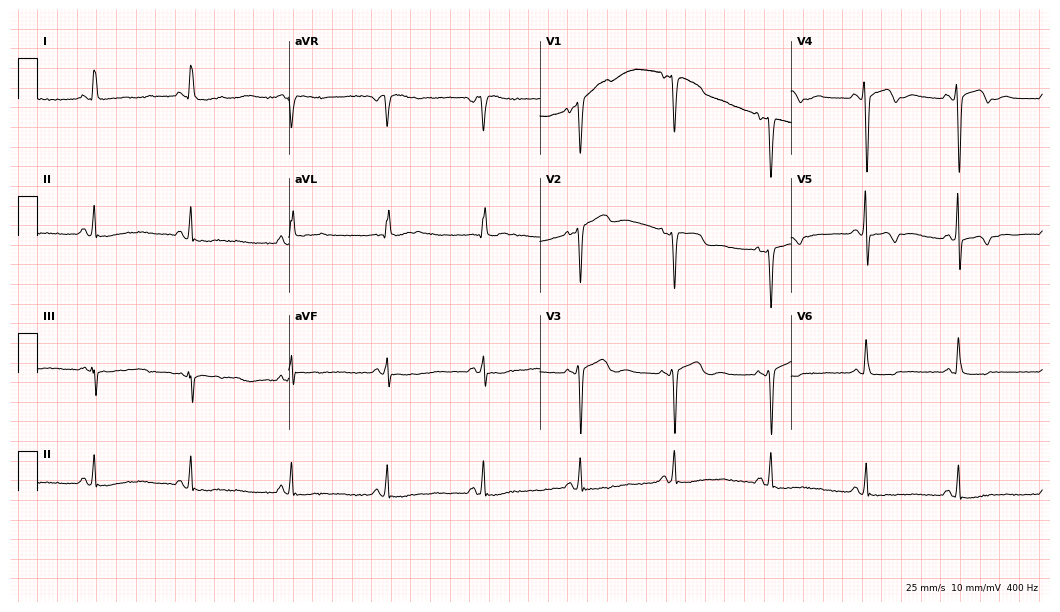
Standard 12-lead ECG recorded from a 53-year-old female patient. None of these six findings is recorded: first-degree AV block, right bundle branch block (RBBB), left bundle branch block (LBBB), sinus bradycardia, atrial fibrillation (AF), sinus tachycardia.